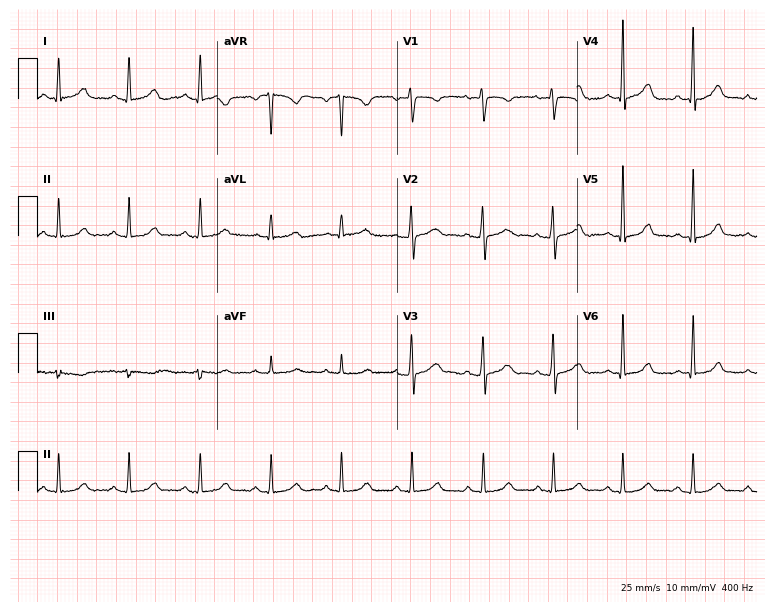
Standard 12-lead ECG recorded from a female, 39 years old. Read as a normal ECG.